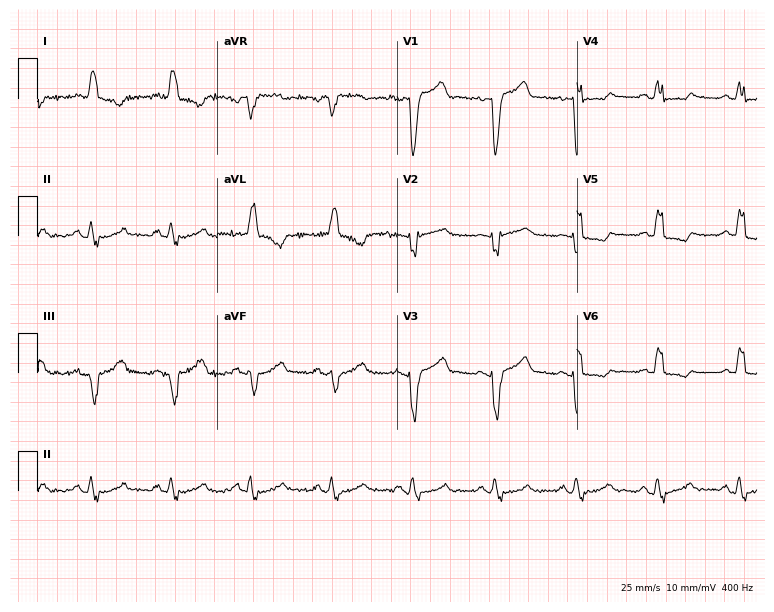
12-lead ECG from a female patient, 68 years old. Findings include left bundle branch block.